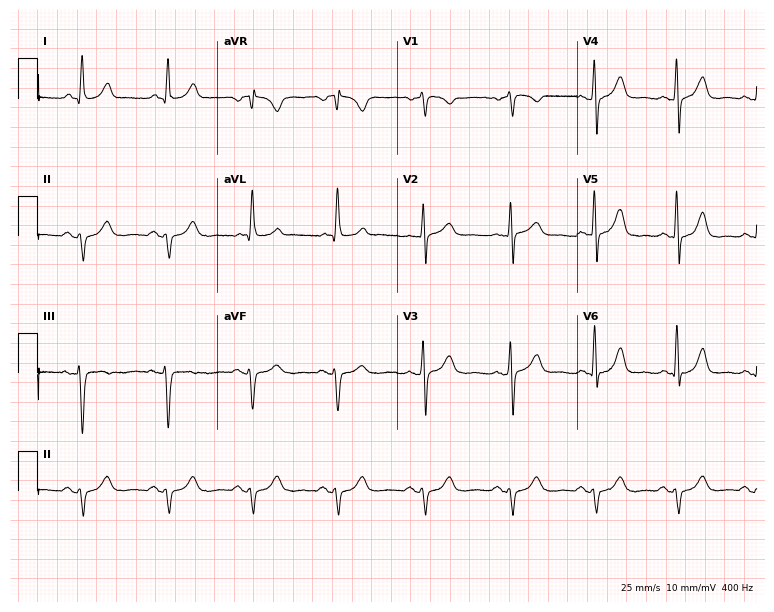
Resting 12-lead electrocardiogram (7.3-second recording at 400 Hz). Patient: a 70-year-old female. None of these six findings is recorded: first-degree AV block, right bundle branch block, left bundle branch block, sinus bradycardia, atrial fibrillation, sinus tachycardia. Other findings, if any, are not listed.